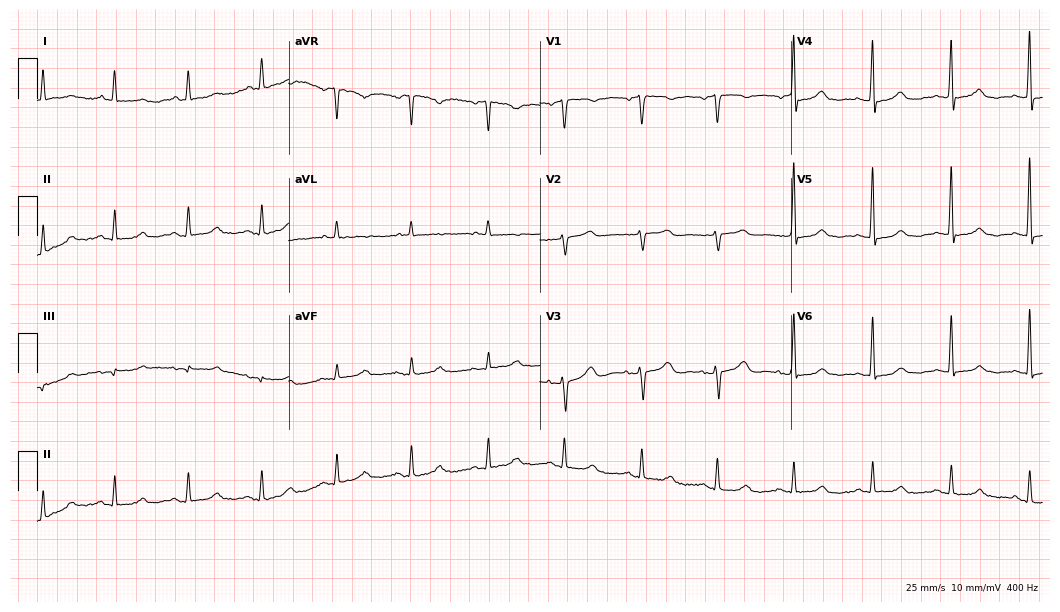
12-lead ECG from an 83-year-old female patient. Recorded interpretation: within normal limits.